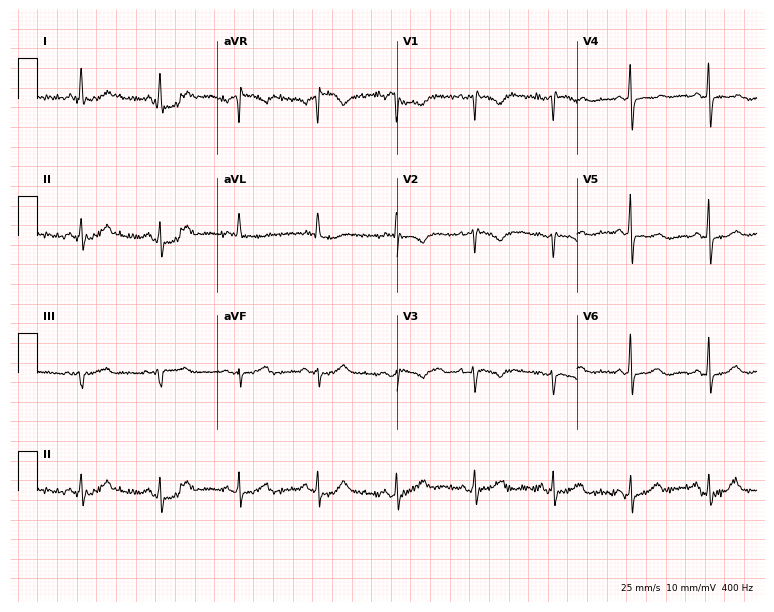
Resting 12-lead electrocardiogram. Patient: a 66-year-old woman. None of these six findings is recorded: first-degree AV block, right bundle branch block, left bundle branch block, sinus bradycardia, atrial fibrillation, sinus tachycardia.